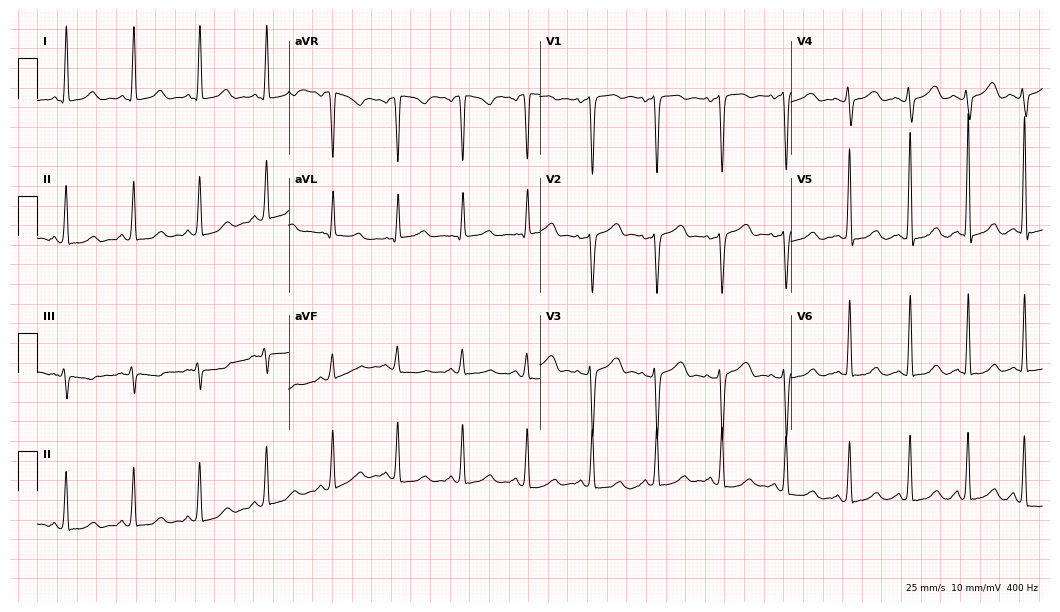
Resting 12-lead electrocardiogram. Patient: a female, 39 years old. None of these six findings is recorded: first-degree AV block, right bundle branch block, left bundle branch block, sinus bradycardia, atrial fibrillation, sinus tachycardia. Only these six findings were labelled.